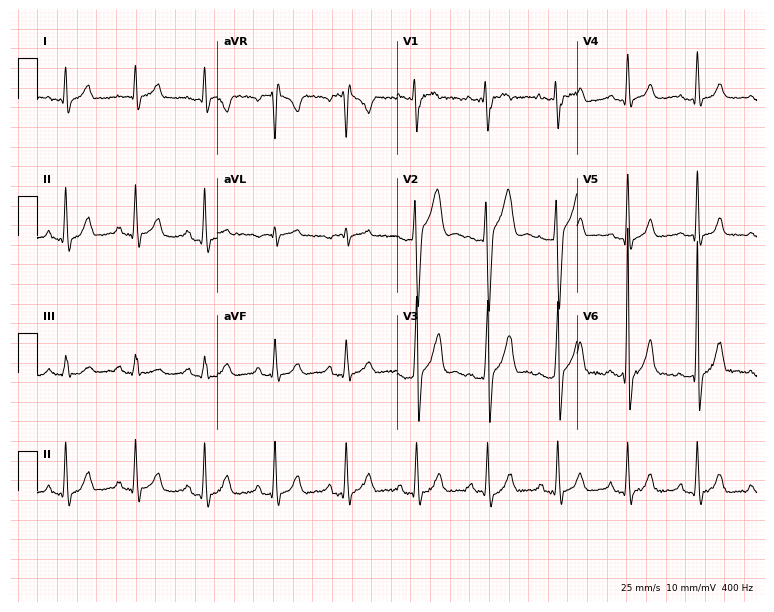
ECG — a 23-year-old male patient. Labelled as a normal ECG.